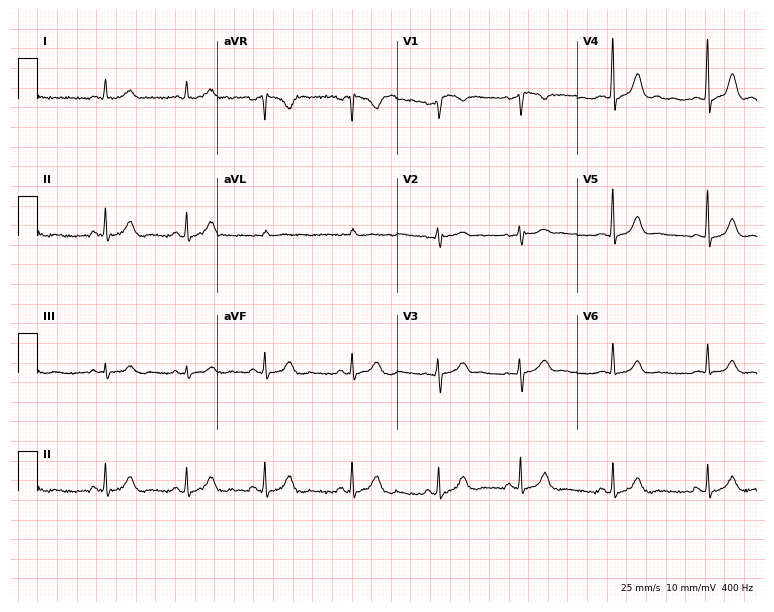
Resting 12-lead electrocardiogram. Patient: a female, 30 years old. Read as a normal ECG.